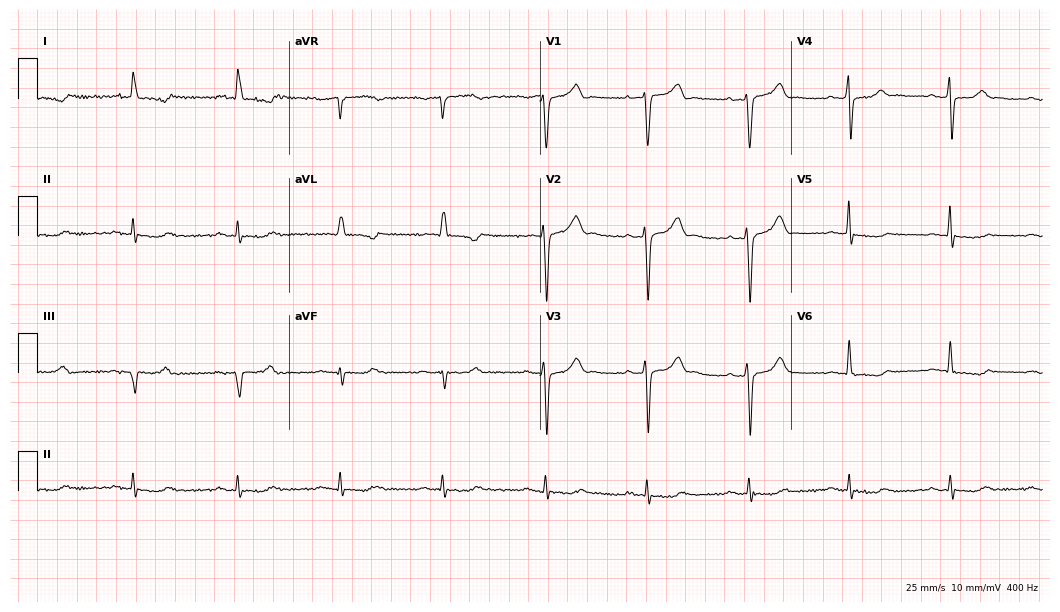
Resting 12-lead electrocardiogram (10.2-second recording at 400 Hz). Patient: a man, 73 years old. None of these six findings is recorded: first-degree AV block, right bundle branch block, left bundle branch block, sinus bradycardia, atrial fibrillation, sinus tachycardia. Findings outside these six are not listed.